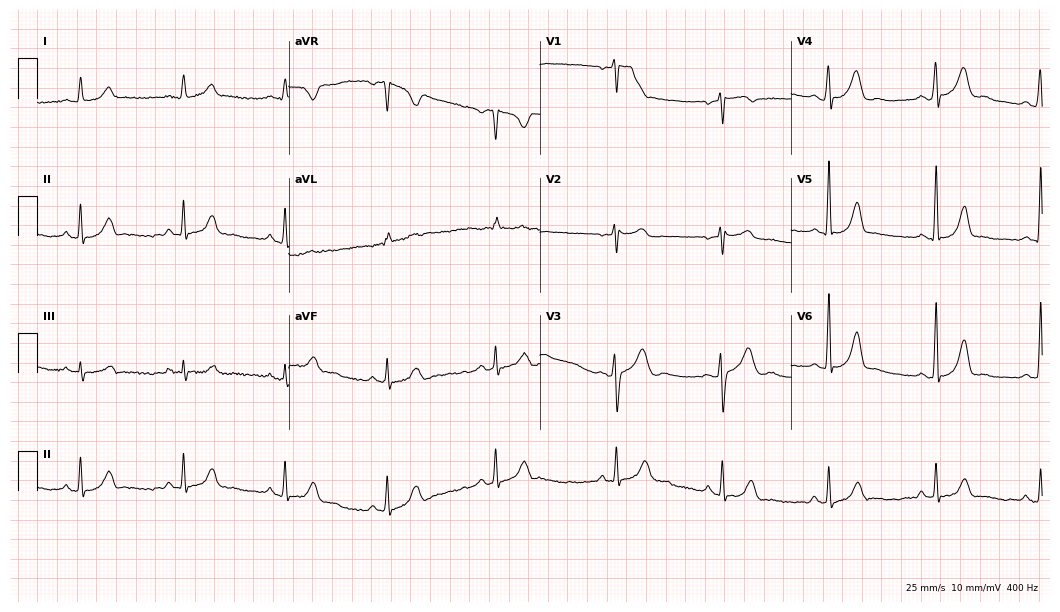
12-lead ECG from a female patient, 37 years old. Labelled as a normal ECG.